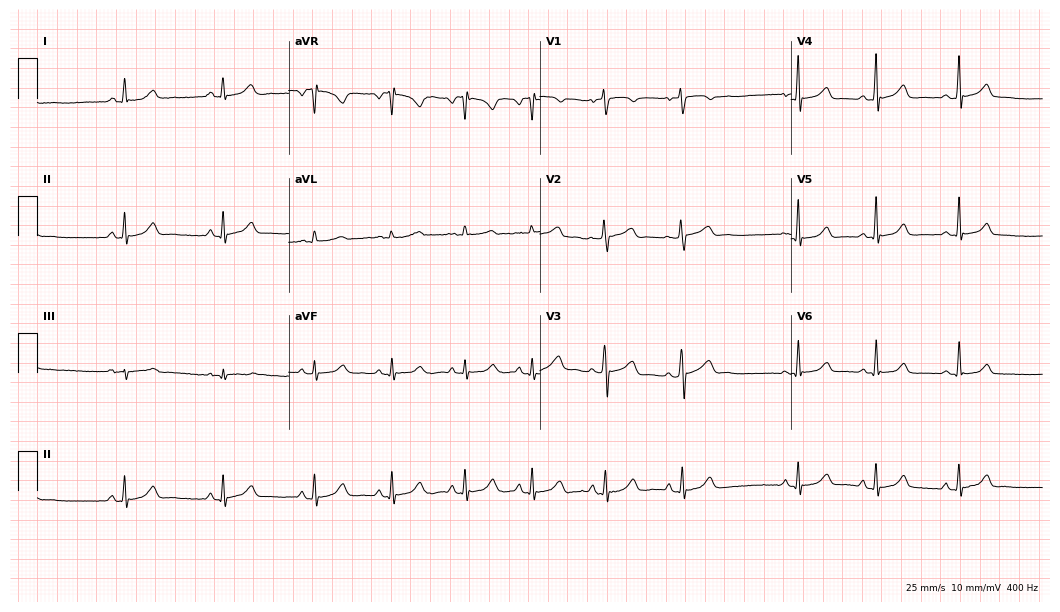
Resting 12-lead electrocardiogram. Patient: a 25-year-old female. Read as a normal ECG.